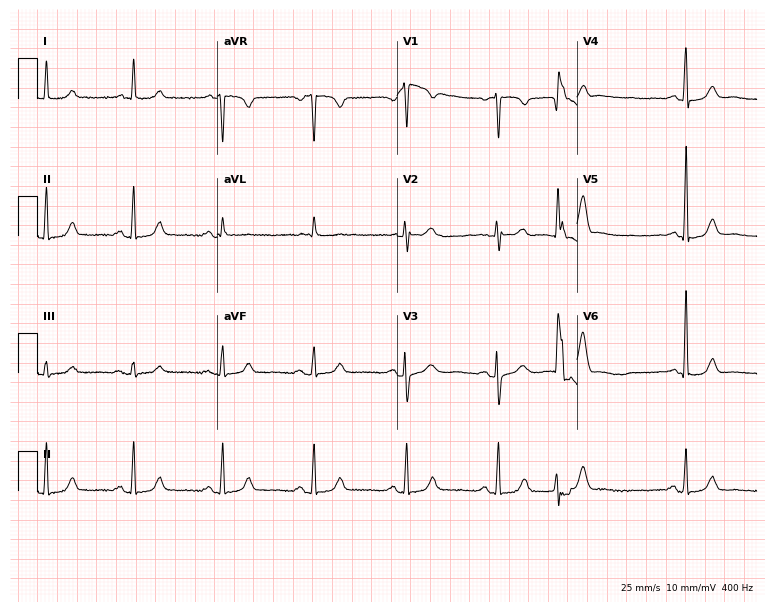
Resting 12-lead electrocardiogram (7.3-second recording at 400 Hz). Patient: a female, 74 years old. None of these six findings is recorded: first-degree AV block, right bundle branch block, left bundle branch block, sinus bradycardia, atrial fibrillation, sinus tachycardia. Findings outside these six are not listed.